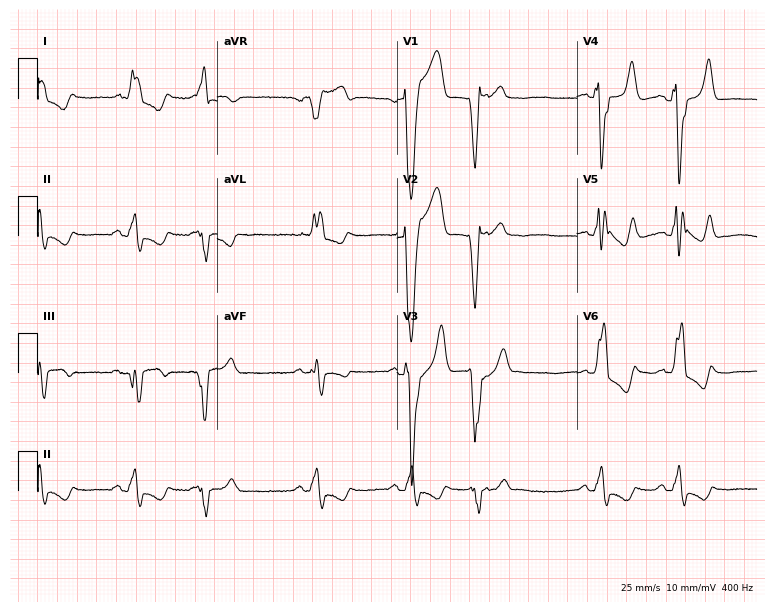
12-lead ECG (7.3-second recording at 400 Hz) from a male, 83 years old. Findings include left bundle branch block, atrial fibrillation.